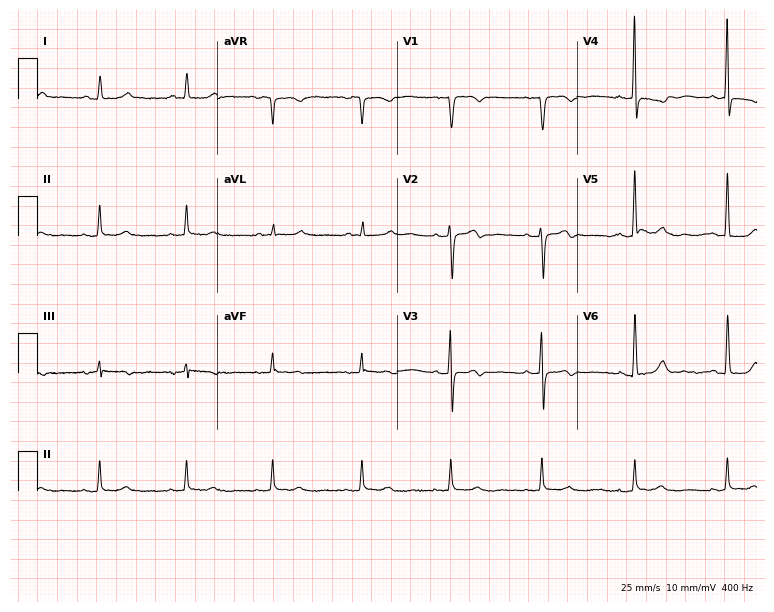
Resting 12-lead electrocardiogram (7.3-second recording at 400 Hz). Patient: a woman, 65 years old. None of these six findings is recorded: first-degree AV block, right bundle branch block, left bundle branch block, sinus bradycardia, atrial fibrillation, sinus tachycardia. Findings outside these six are not listed.